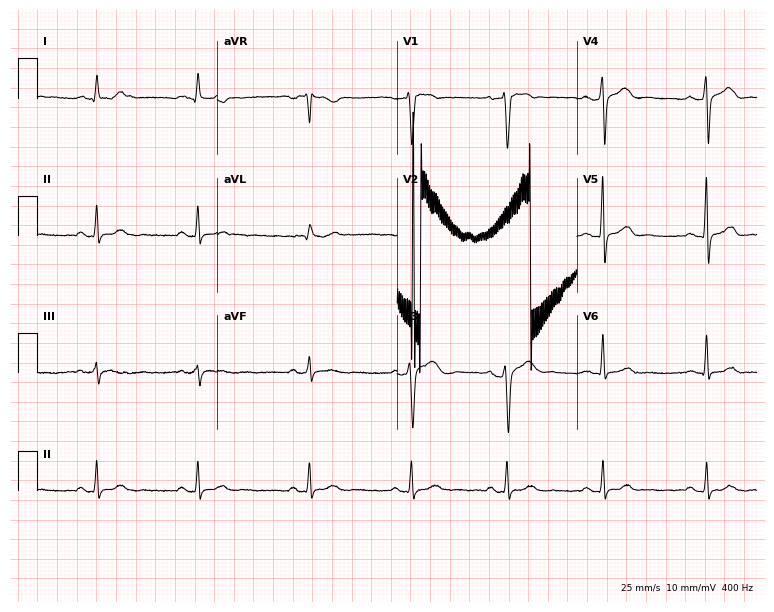
12-lead ECG from a male, 47 years old (7.3-second recording at 400 Hz). Recorded interpretation: within normal limits.